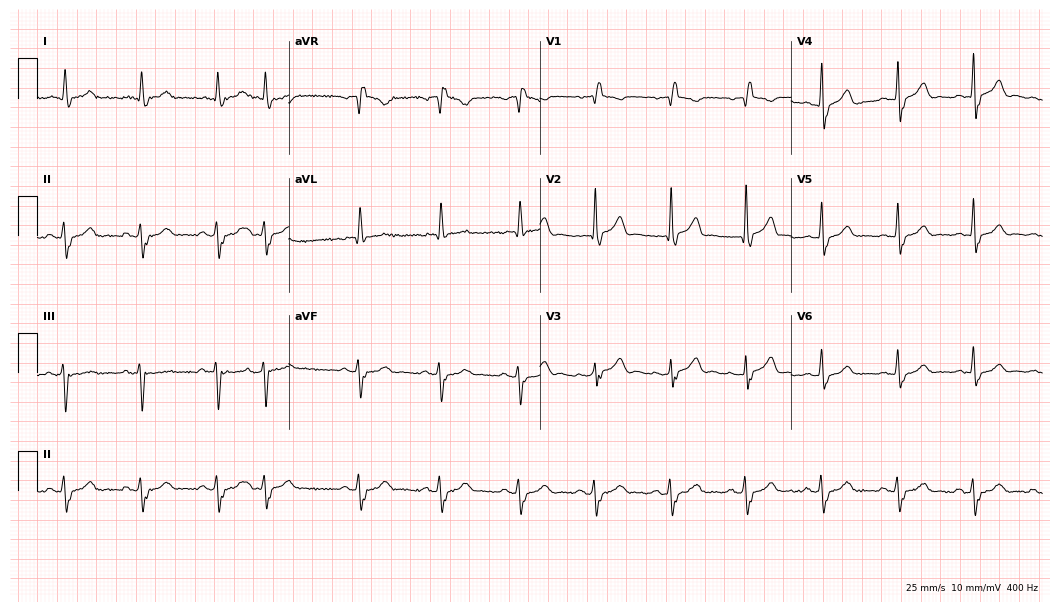
Electrocardiogram (10.2-second recording at 400 Hz), an 85-year-old man. Of the six screened findings (first-degree AV block, right bundle branch block (RBBB), left bundle branch block (LBBB), sinus bradycardia, atrial fibrillation (AF), sinus tachycardia), none is recorded. Only these six findings were labelled.